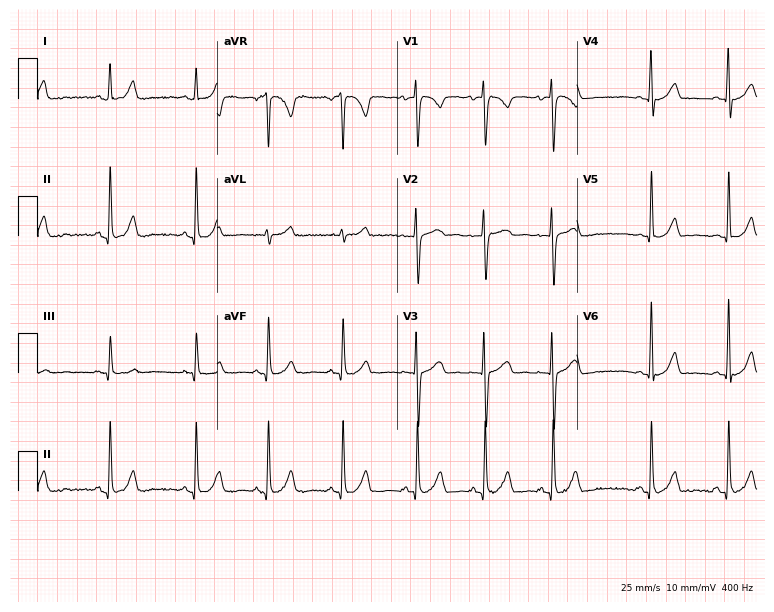
ECG (7.3-second recording at 400 Hz) — a woman, 20 years old. Labelled as a normal ECG.